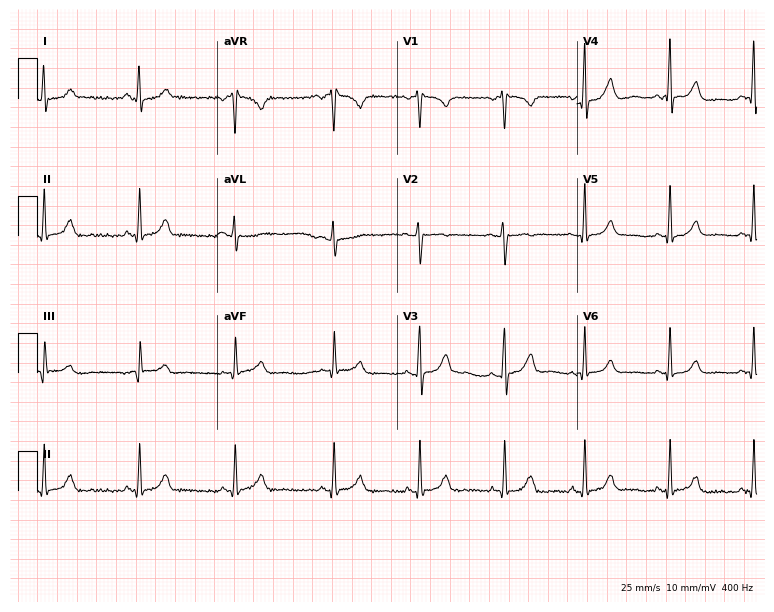
12-lead ECG from a 29-year-old female. Labelled as a normal ECG.